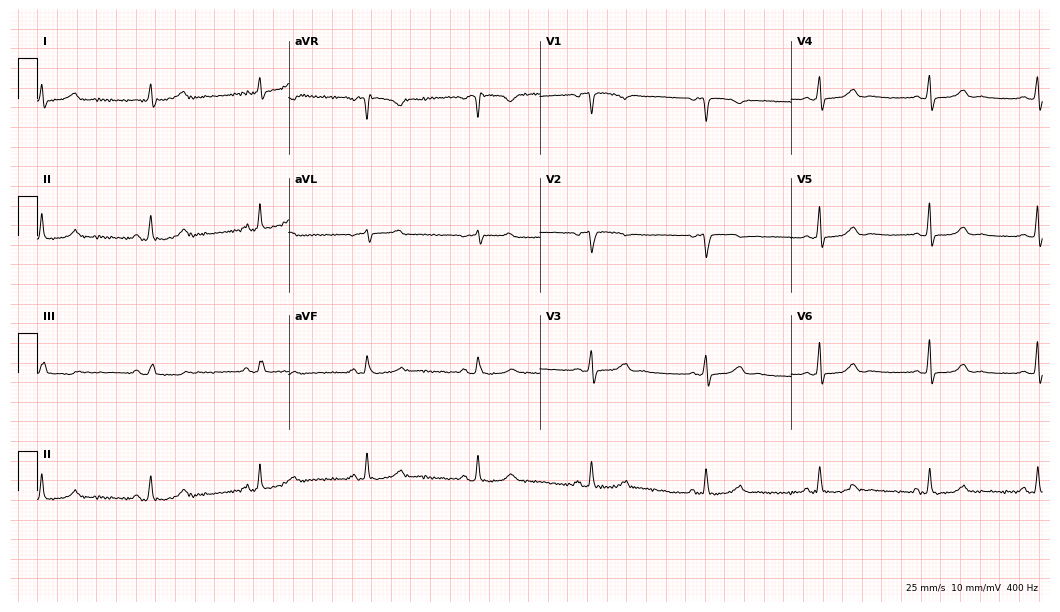
Standard 12-lead ECG recorded from a 60-year-old woman. Read as a normal ECG.